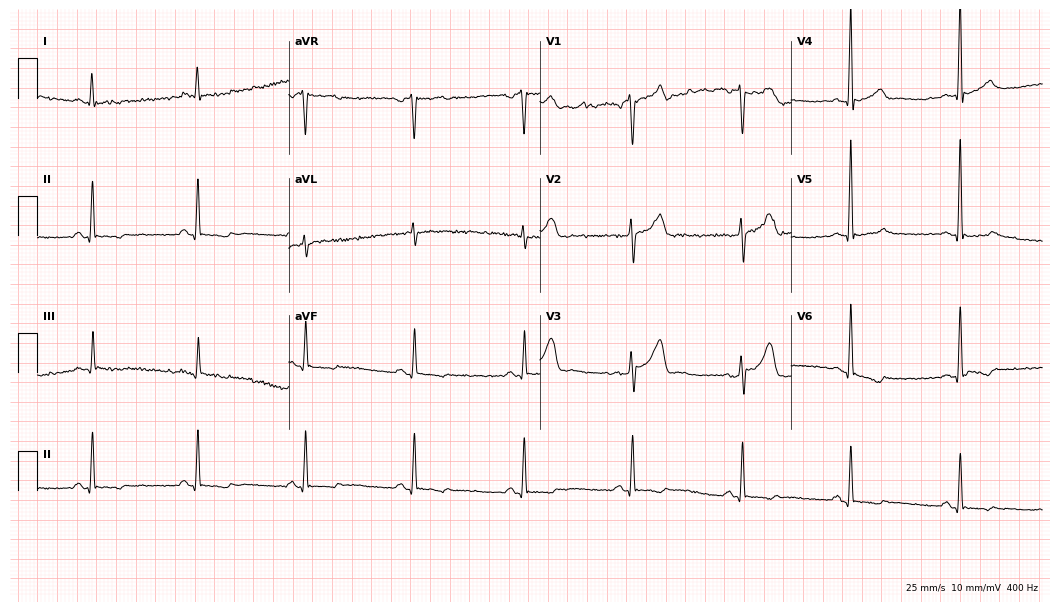
ECG (10.2-second recording at 400 Hz) — a male patient, 55 years old. Screened for six findings — first-degree AV block, right bundle branch block, left bundle branch block, sinus bradycardia, atrial fibrillation, sinus tachycardia — none is recorded. Other findings, if any, are not listed.